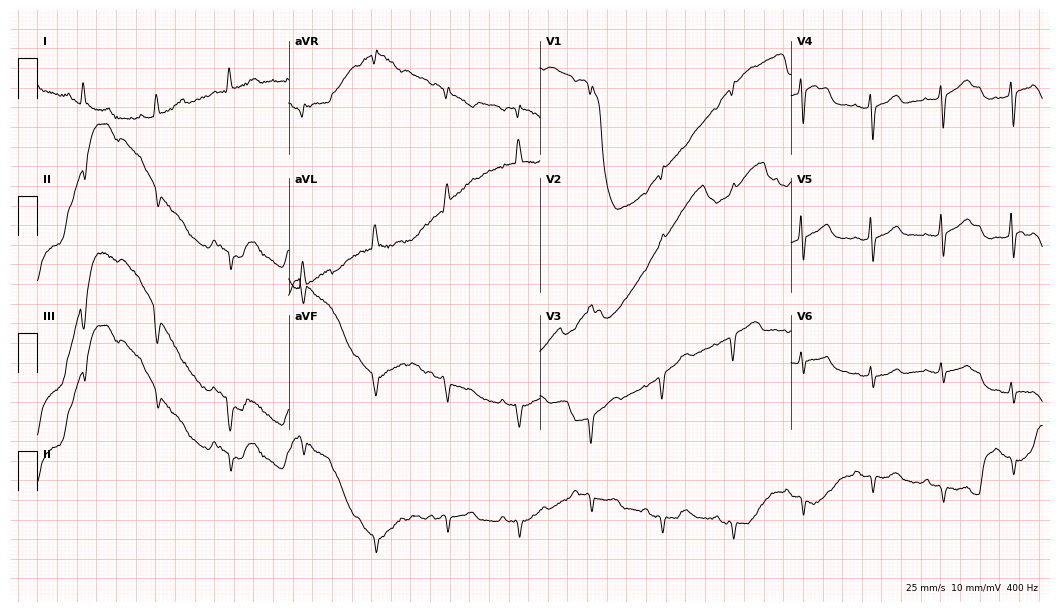
ECG — a 65-year-old female. Screened for six findings — first-degree AV block, right bundle branch block, left bundle branch block, sinus bradycardia, atrial fibrillation, sinus tachycardia — none is recorded. Other findings, if any, are not listed.